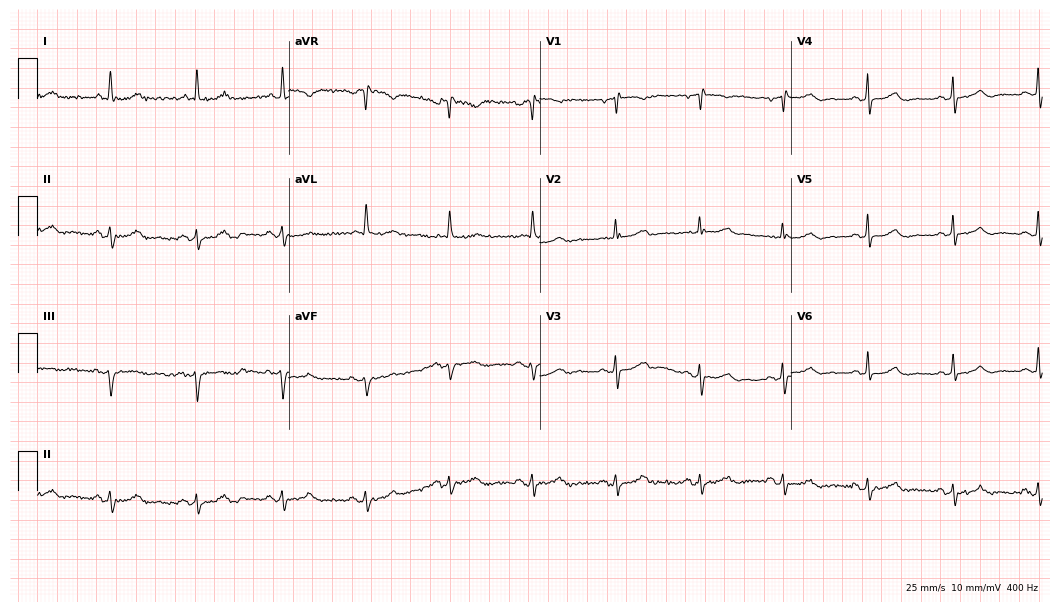
ECG — a female patient, 82 years old. Labelled as a normal ECG.